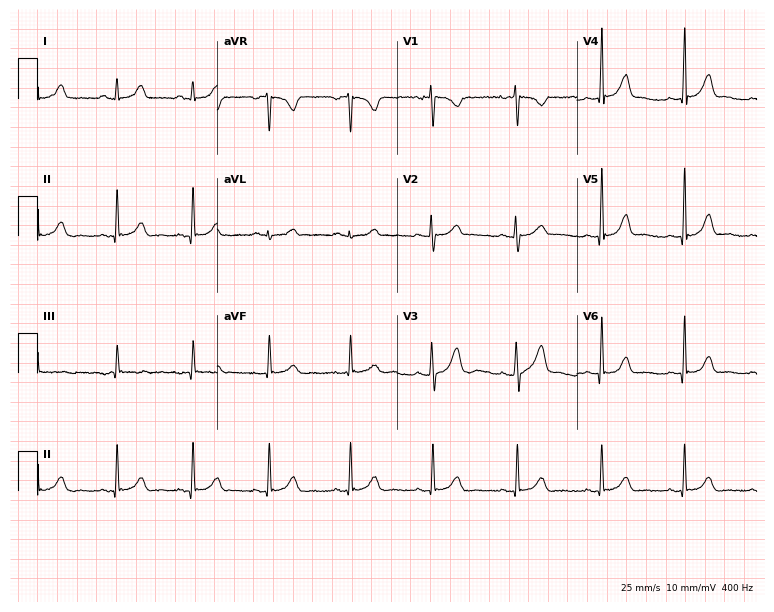
Standard 12-lead ECG recorded from a female patient, 17 years old (7.3-second recording at 400 Hz). Read as a normal ECG.